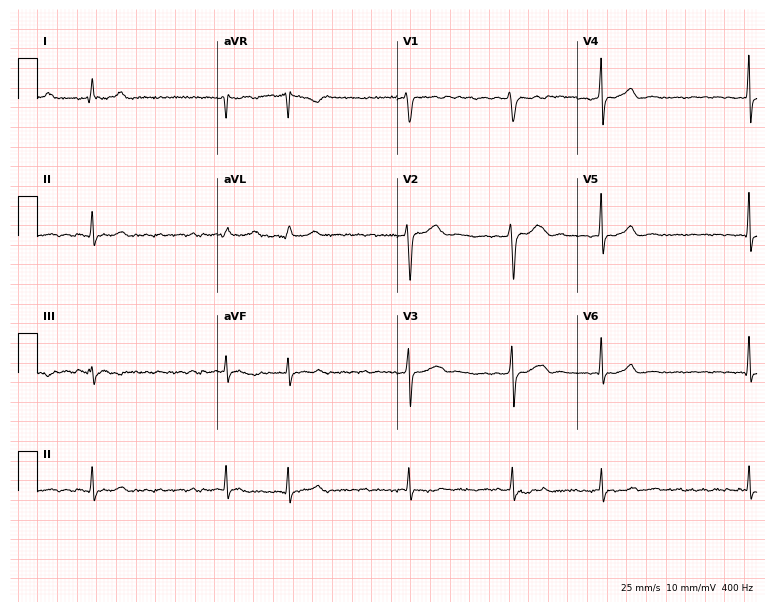
Resting 12-lead electrocardiogram (7.3-second recording at 400 Hz). Patient: a 55-year-old man. The tracing shows atrial fibrillation.